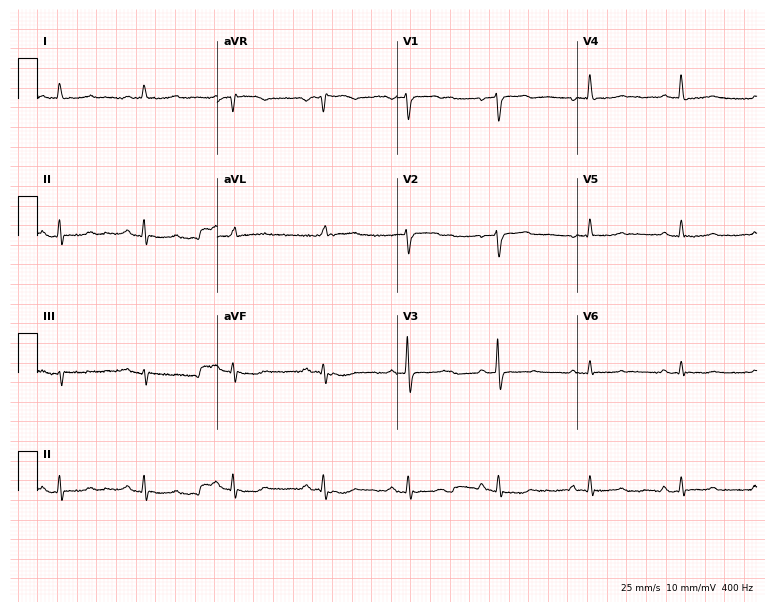
Standard 12-lead ECG recorded from a 64-year-old woman. None of these six findings is recorded: first-degree AV block, right bundle branch block (RBBB), left bundle branch block (LBBB), sinus bradycardia, atrial fibrillation (AF), sinus tachycardia.